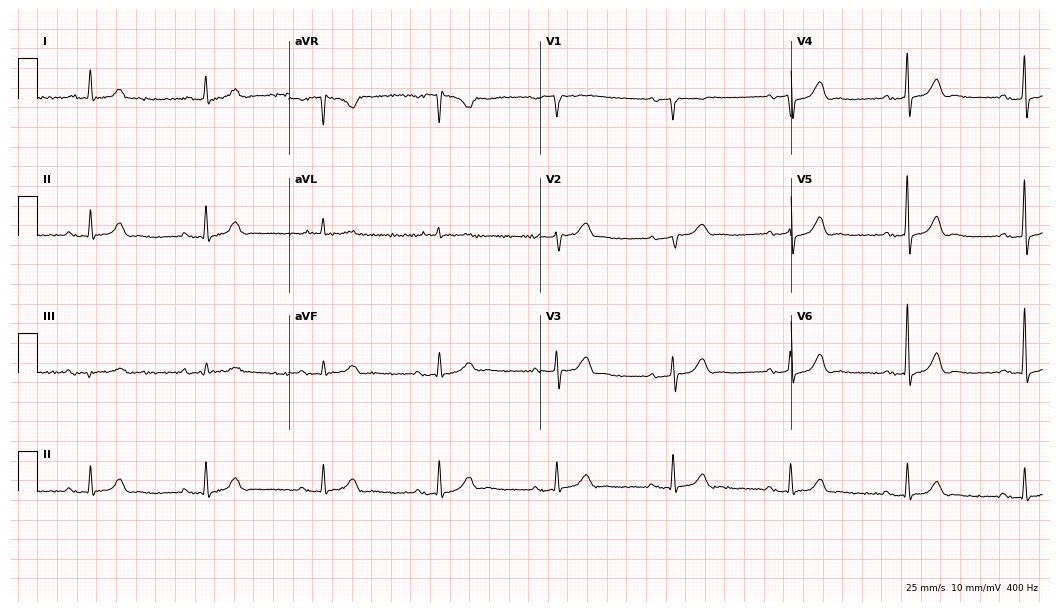
Standard 12-lead ECG recorded from a man, 76 years old (10.2-second recording at 400 Hz). None of these six findings is recorded: first-degree AV block, right bundle branch block, left bundle branch block, sinus bradycardia, atrial fibrillation, sinus tachycardia. Only these six findings were labelled.